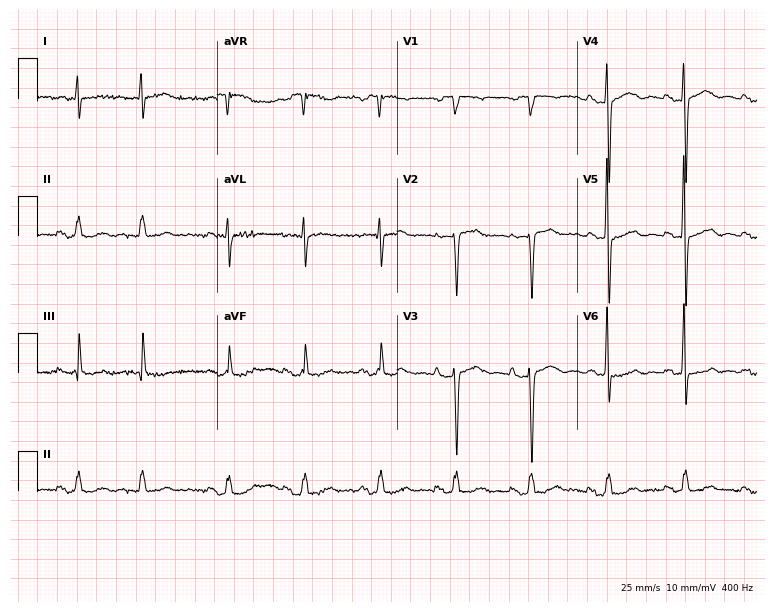
12-lead ECG from a male patient, 82 years old. Recorded interpretation: within normal limits.